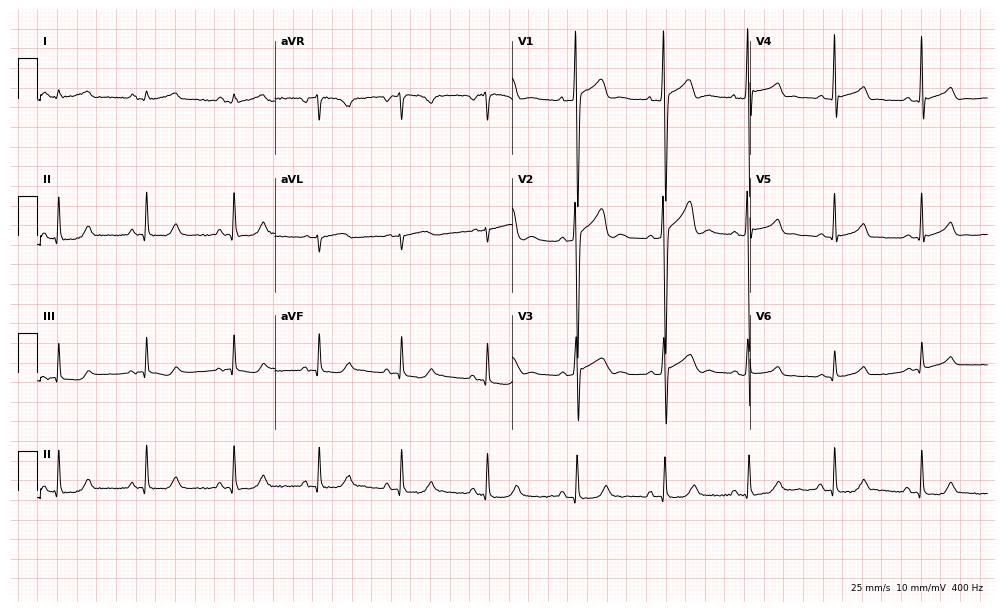
12-lead ECG from a male, 17 years old. Recorded interpretation: within normal limits.